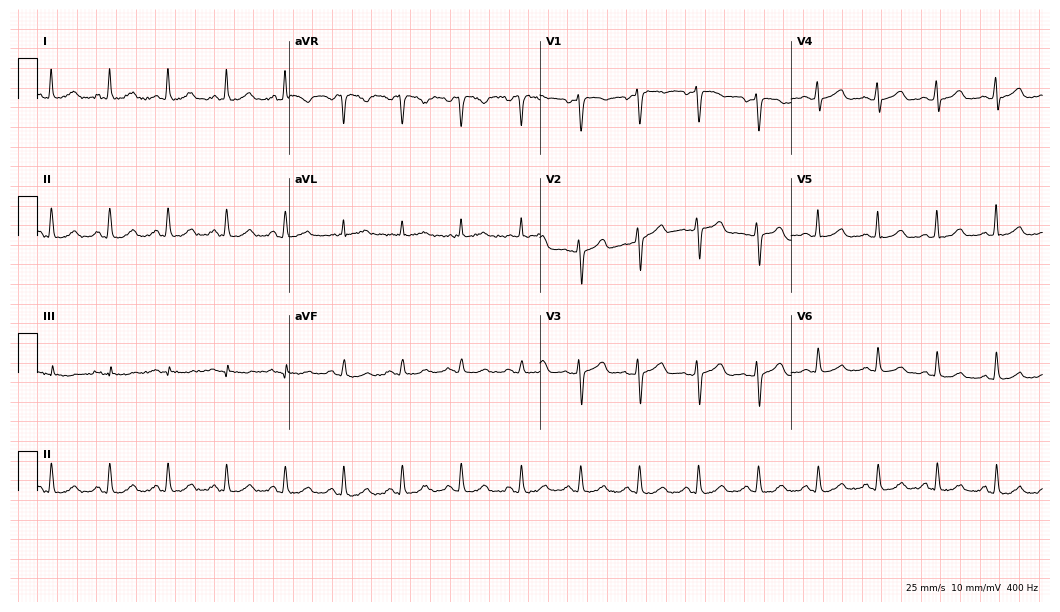
12-lead ECG (10.2-second recording at 400 Hz) from a 55-year-old female. Labelled as a normal ECG.